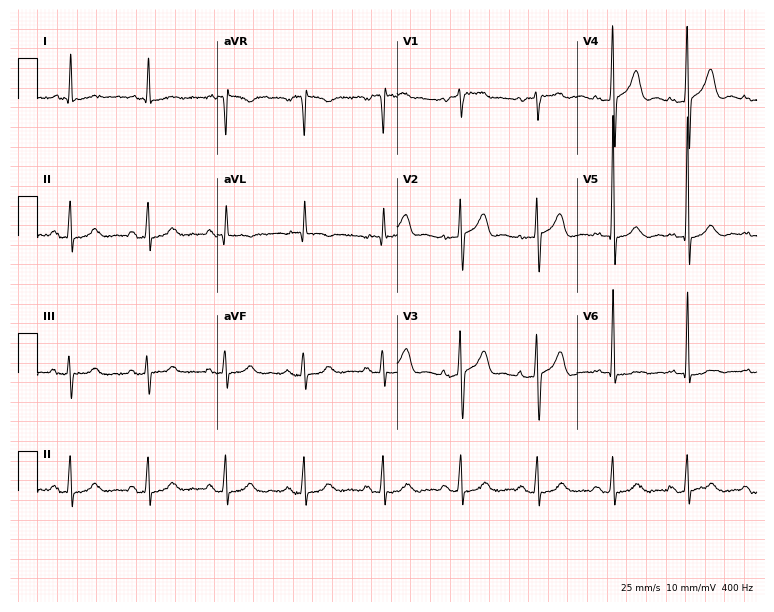
12-lead ECG from an 84-year-old male. Recorded interpretation: within normal limits.